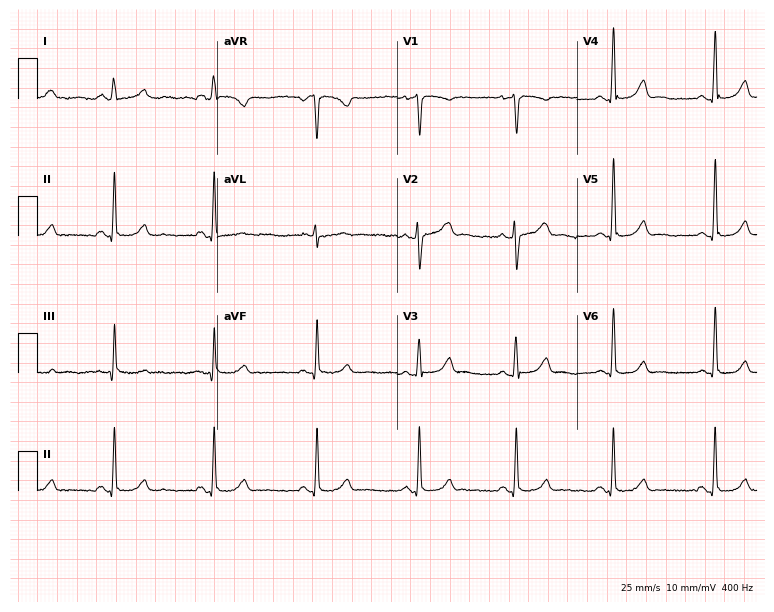
12-lead ECG from a 32-year-old woman (7.3-second recording at 400 Hz). Recorded interpretation: within normal limits.